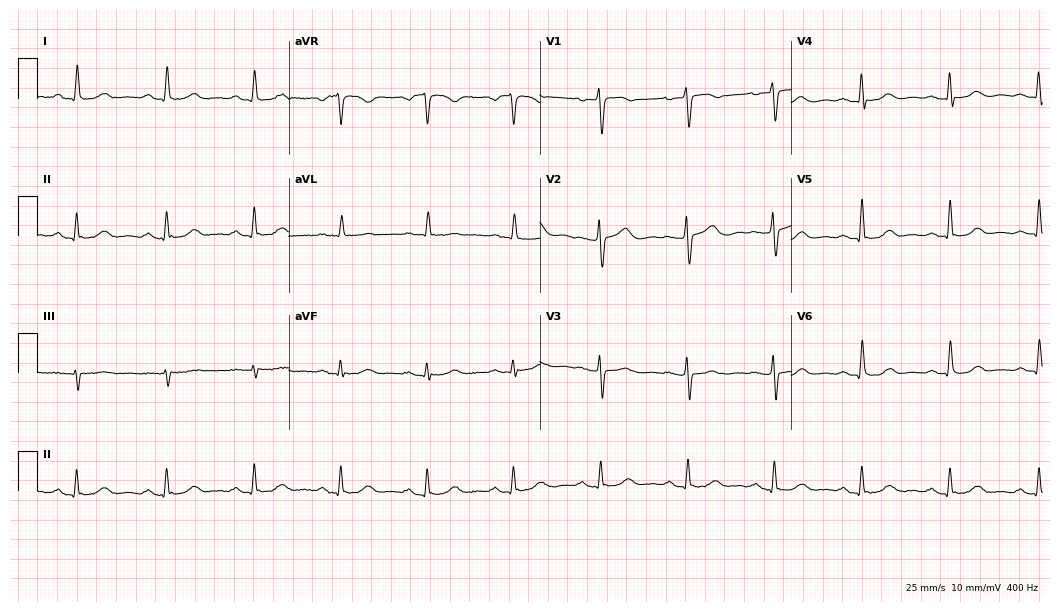
Electrocardiogram, a female, 62 years old. Overall reading on record: normal ECG.